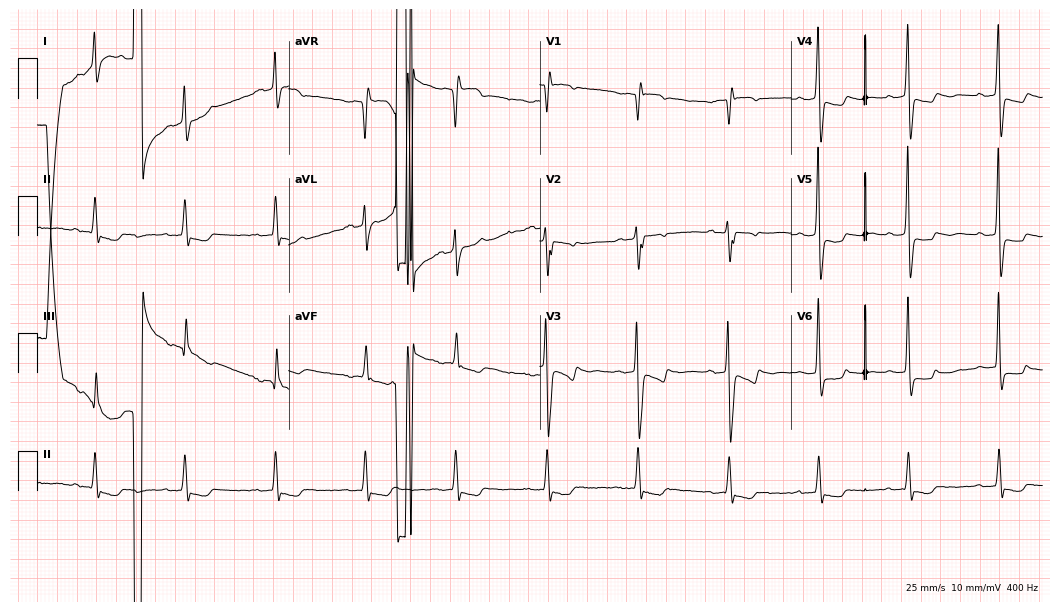
12-lead ECG from a female patient, 78 years old. No first-degree AV block, right bundle branch block, left bundle branch block, sinus bradycardia, atrial fibrillation or sinus tachycardia recorded for this tracing. Only these six findings were labelled.